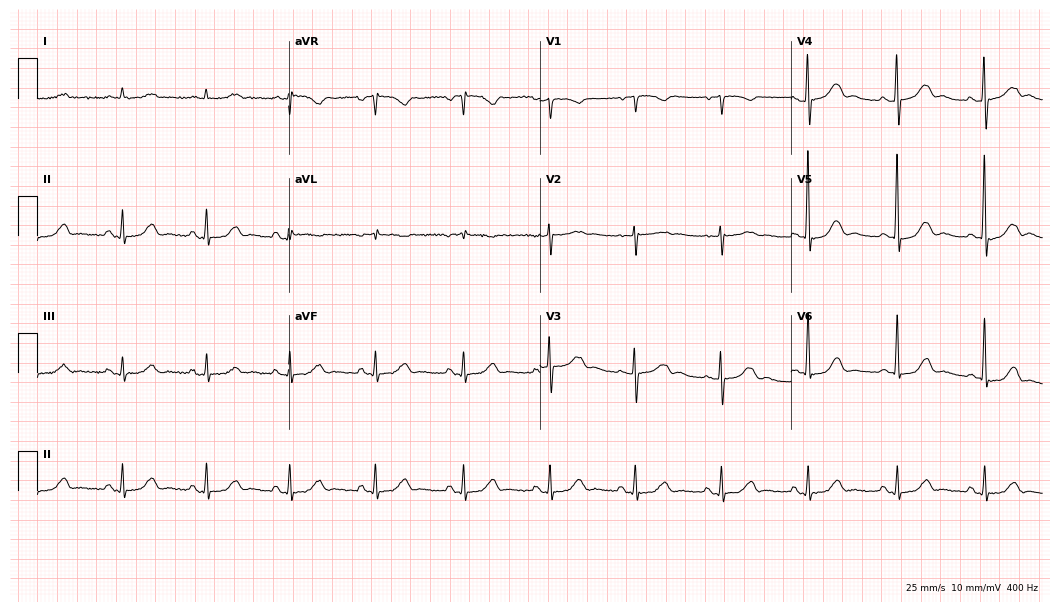
Standard 12-lead ECG recorded from a female, 70 years old. None of these six findings is recorded: first-degree AV block, right bundle branch block, left bundle branch block, sinus bradycardia, atrial fibrillation, sinus tachycardia. Only these six findings were labelled.